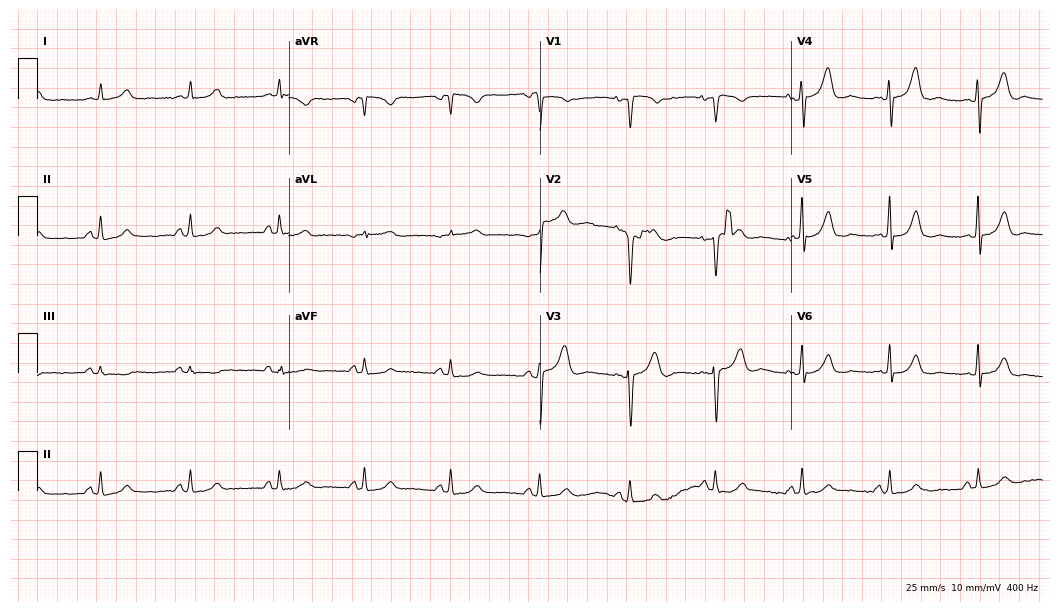
12-lead ECG from a 69-year-old woman (10.2-second recording at 400 Hz). No first-degree AV block, right bundle branch block, left bundle branch block, sinus bradycardia, atrial fibrillation or sinus tachycardia recorded for this tracing. Other findings, if any, are not listed.